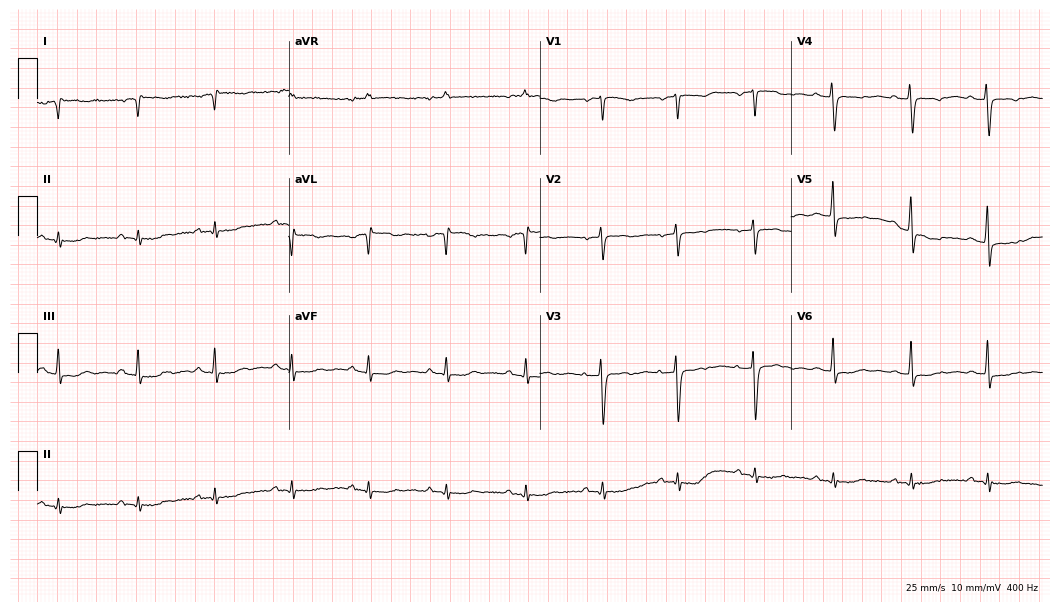
Standard 12-lead ECG recorded from a 56-year-old female (10.2-second recording at 400 Hz). None of these six findings is recorded: first-degree AV block, right bundle branch block (RBBB), left bundle branch block (LBBB), sinus bradycardia, atrial fibrillation (AF), sinus tachycardia. Only these six findings were labelled.